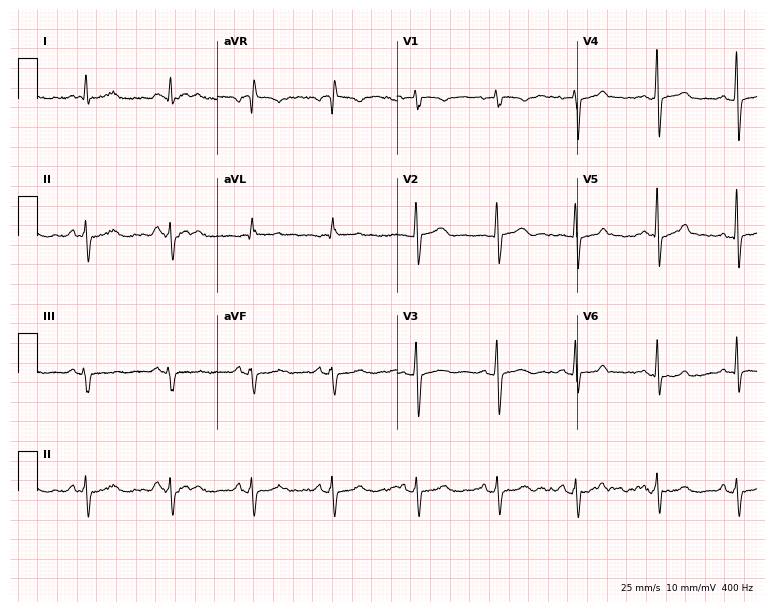
12-lead ECG from a female, 44 years old. Screened for six findings — first-degree AV block, right bundle branch block, left bundle branch block, sinus bradycardia, atrial fibrillation, sinus tachycardia — none is recorded.